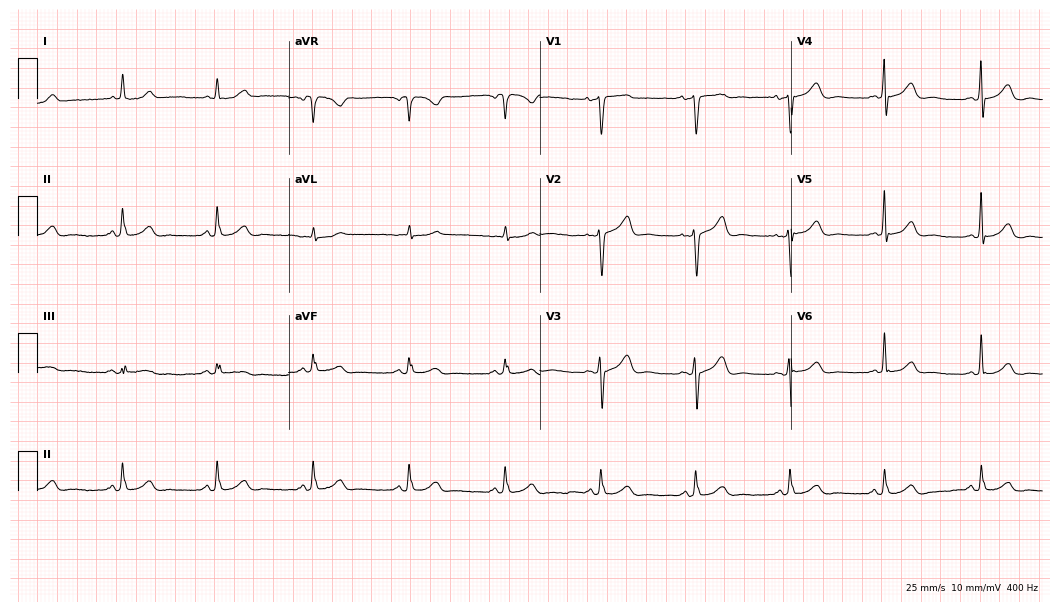
12-lead ECG from a 59-year-old female patient. Recorded interpretation: within normal limits.